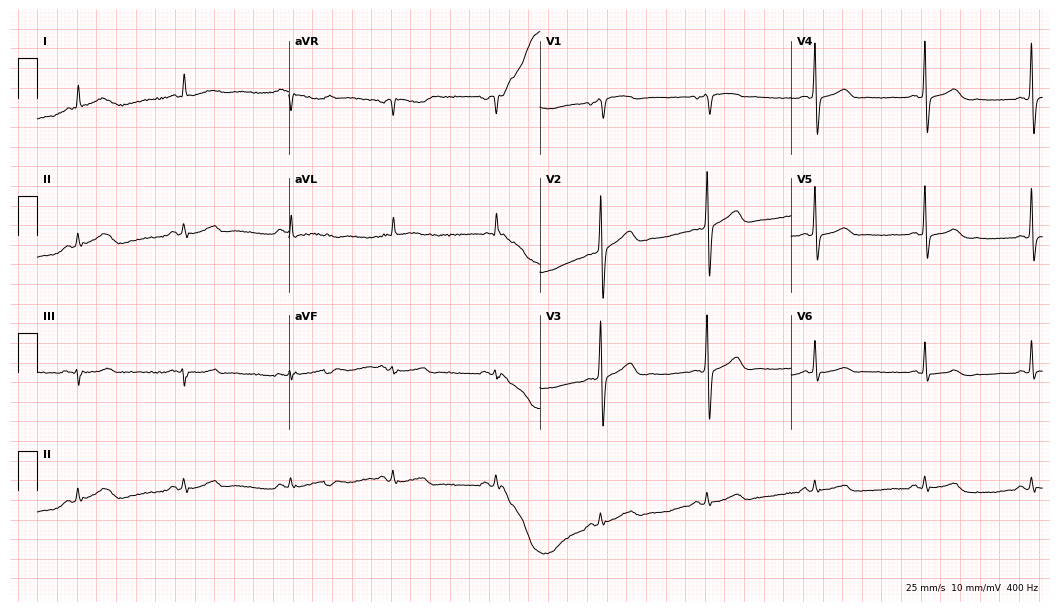
ECG — a 68-year-old male patient. Screened for six findings — first-degree AV block, right bundle branch block, left bundle branch block, sinus bradycardia, atrial fibrillation, sinus tachycardia — none is recorded.